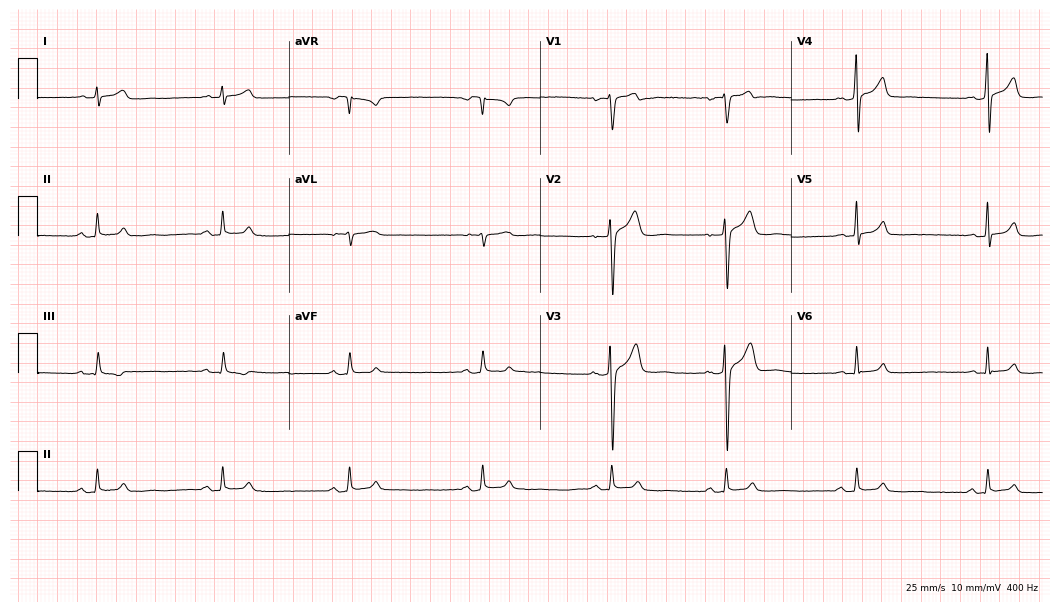
Resting 12-lead electrocardiogram (10.2-second recording at 400 Hz). Patient: a 32-year-old male. The tracing shows sinus bradycardia (a sinus rate of 50 beats per minute or less).